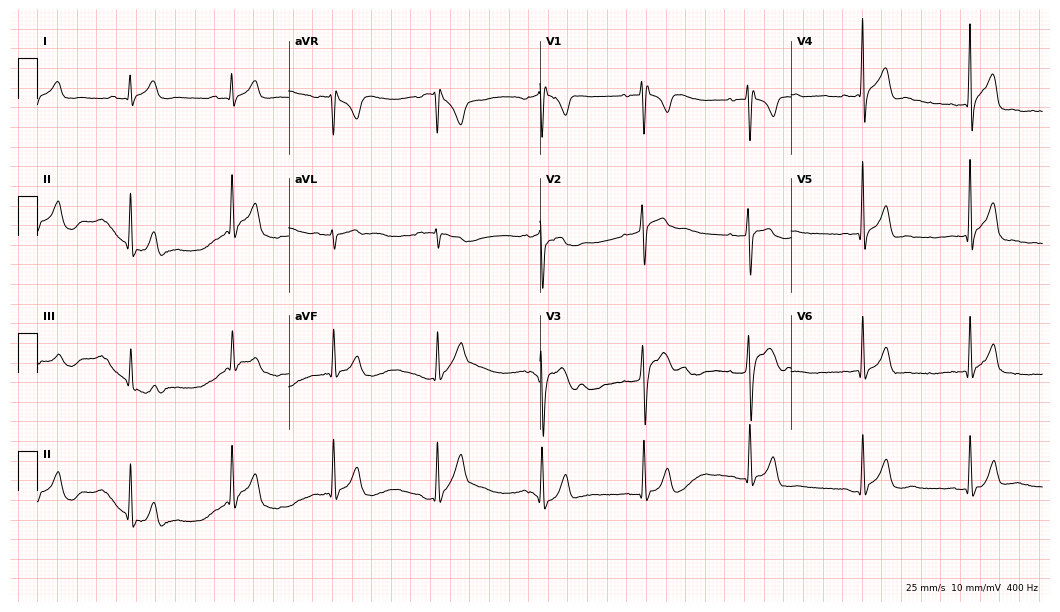
12-lead ECG from a man, 25 years old. Recorded interpretation: within normal limits.